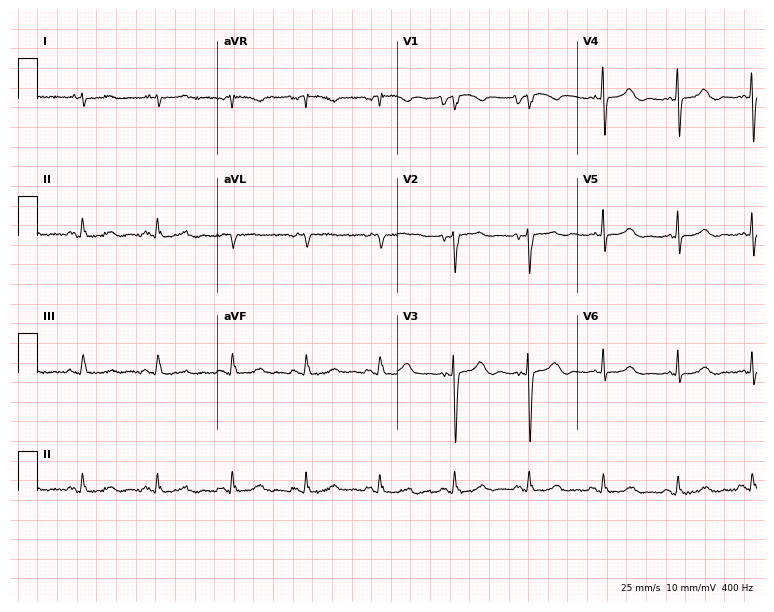
12-lead ECG from an 82-year-old female. No first-degree AV block, right bundle branch block, left bundle branch block, sinus bradycardia, atrial fibrillation or sinus tachycardia recorded for this tracing.